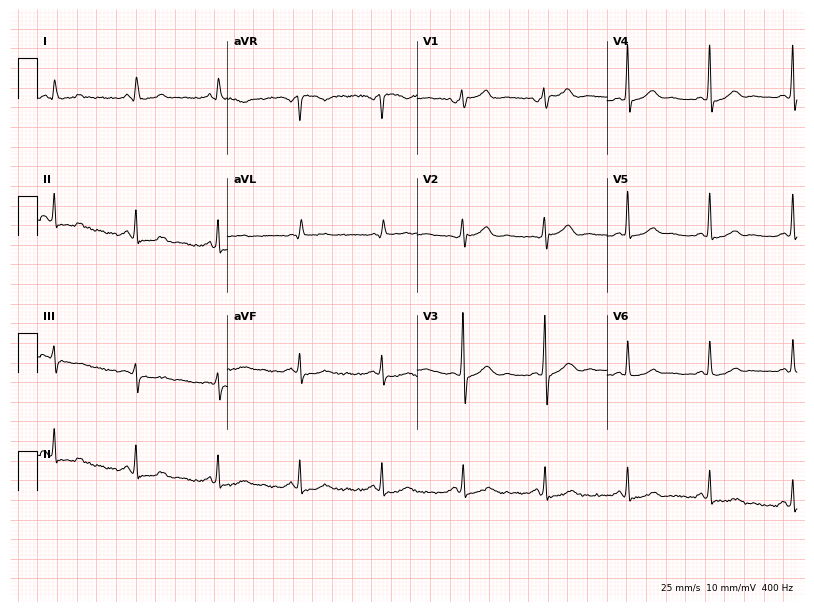
12-lead ECG (7.7-second recording at 400 Hz) from a 43-year-old male patient. Labelled as a normal ECG.